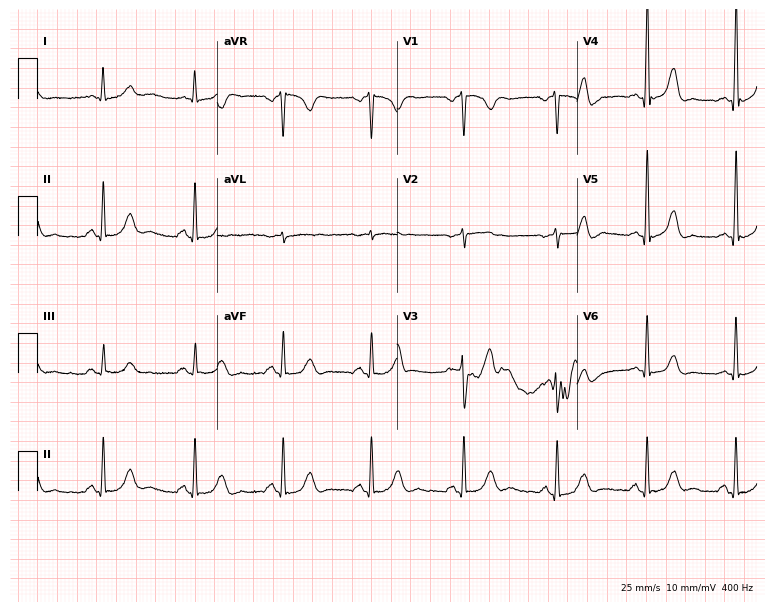
12-lead ECG from a male, 67 years old. No first-degree AV block, right bundle branch block, left bundle branch block, sinus bradycardia, atrial fibrillation or sinus tachycardia recorded for this tracing.